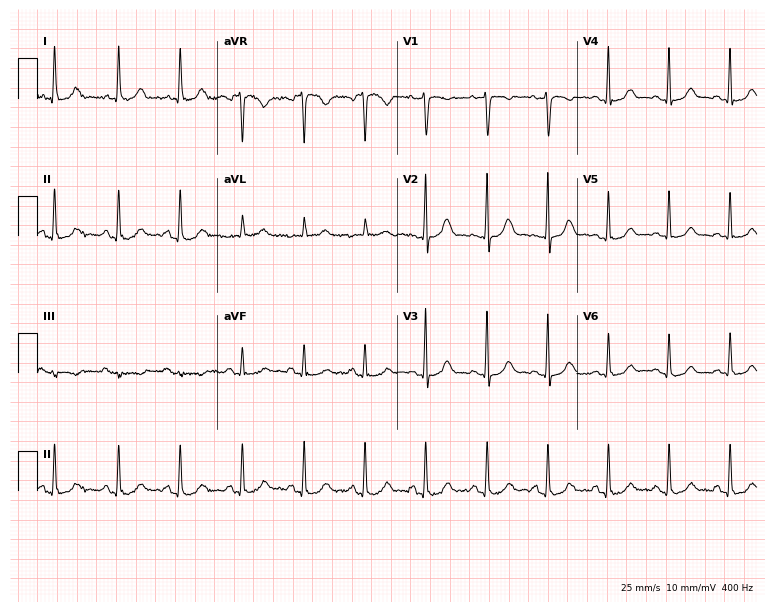
Standard 12-lead ECG recorded from a female patient, 41 years old (7.3-second recording at 400 Hz). Read as a normal ECG.